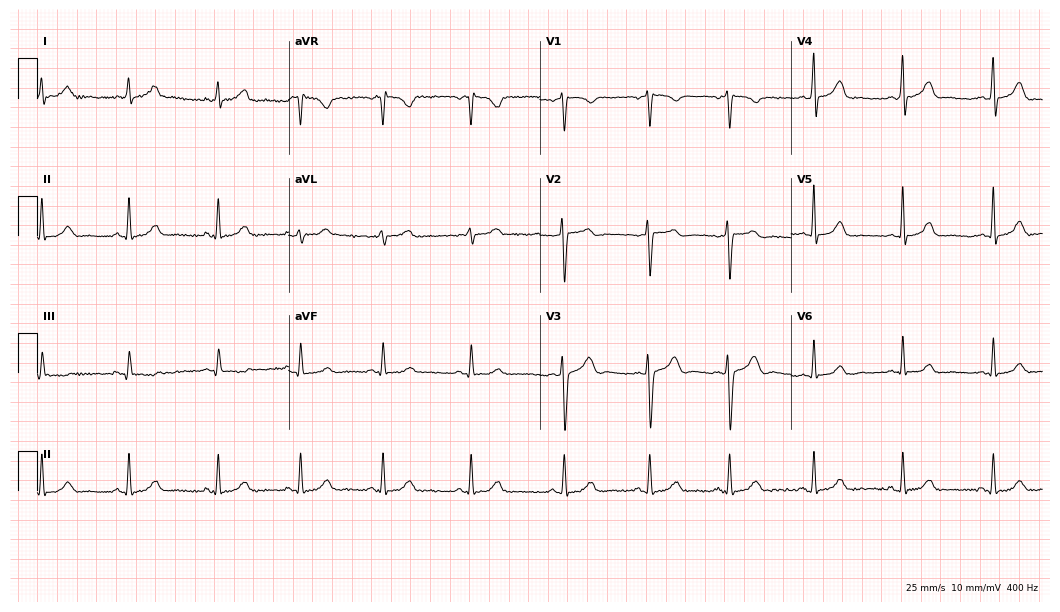
12-lead ECG from a 27-year-old woman. Labelled as a normal ECG.